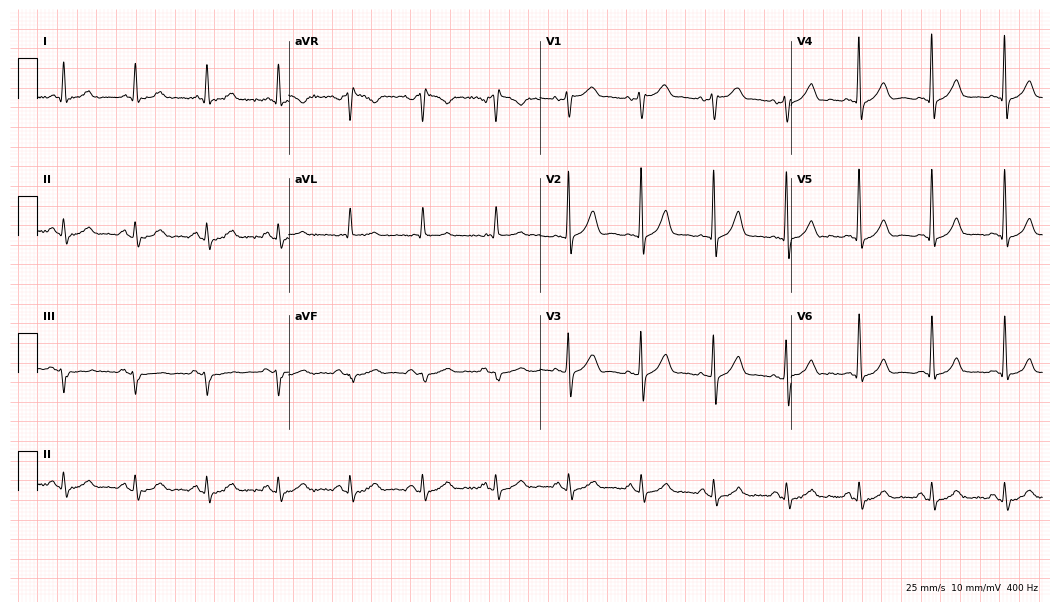
Electrocardiogram (10.2-second recording at 400 Hz), a man, 66 years old. Overall reading on record: normal ECG.